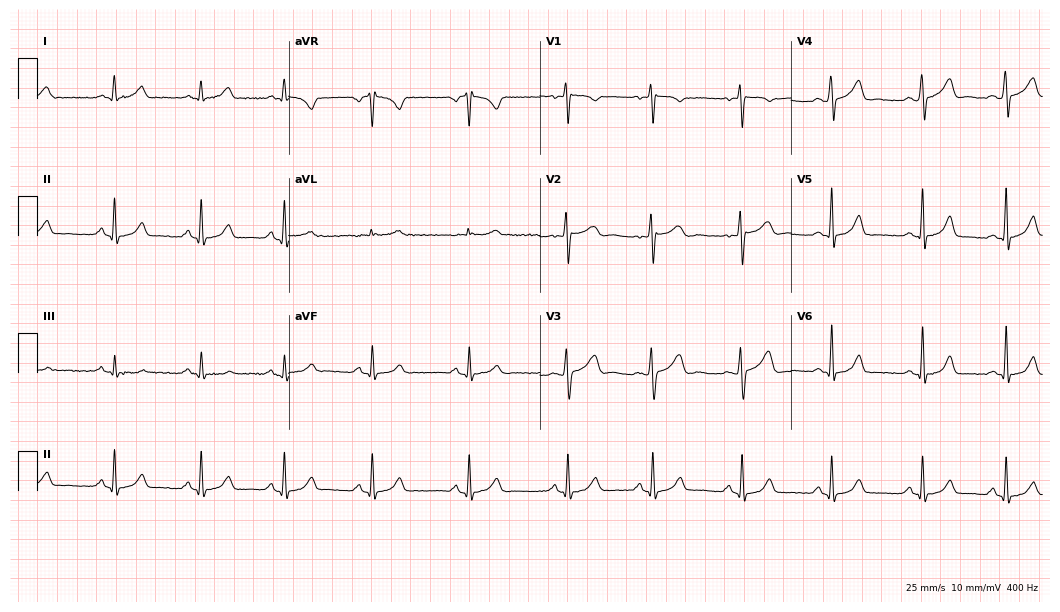
12-lead ECG (10.2-second recording at 400 Hz) from a 32-year-old female patient. Labelled as a normal ECG.